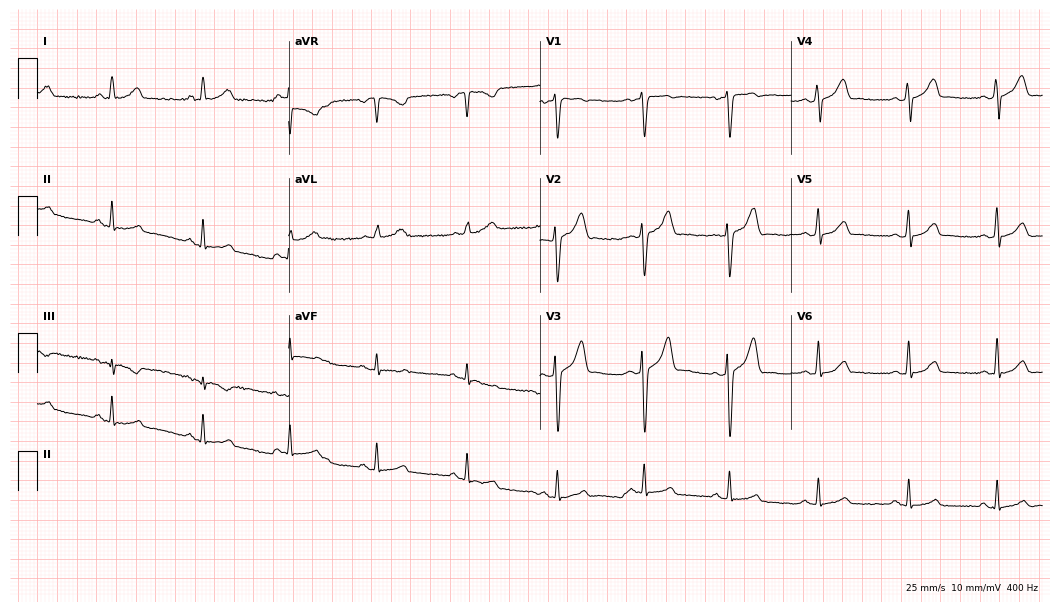
12-lead ECG (10.2-second recording at 400 Hz) from a male patient, 41 years old. Labelled as a normal ECG.